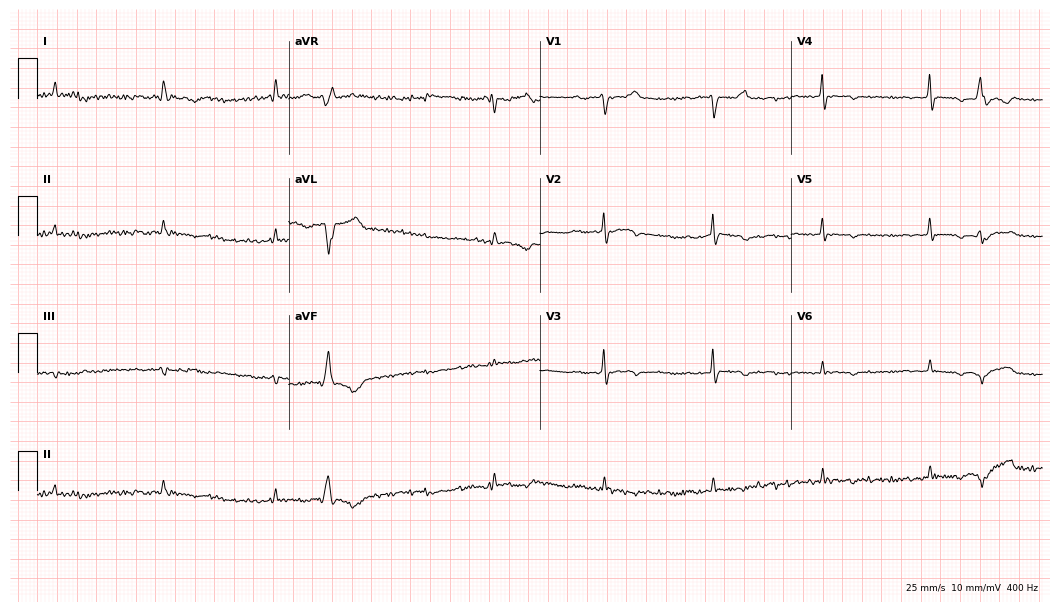
12-lead ECG from a woman, 72 years old (10.2-second recording at 400 Hz). No first-degree AV block, right bundle branch block, left bundle branch block, sinus bradycardia, atrial fibrillation or sinus tachycardia recorded for this tracing.